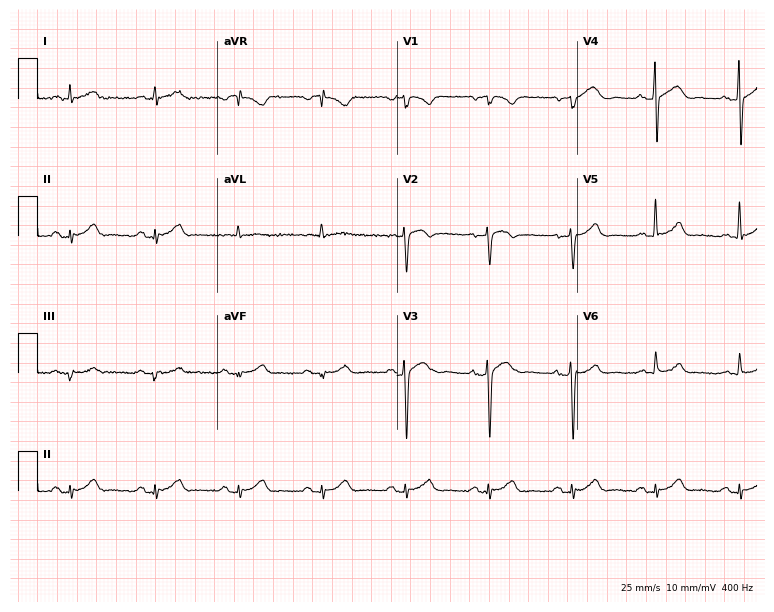
12-lead ECG from a male, 57 years old. No first-degree AV block, right bundle branch block, left bundle branch block, sinus bradycardia, atrial fibrillation or sinus tachycardia recorded for this tracing.